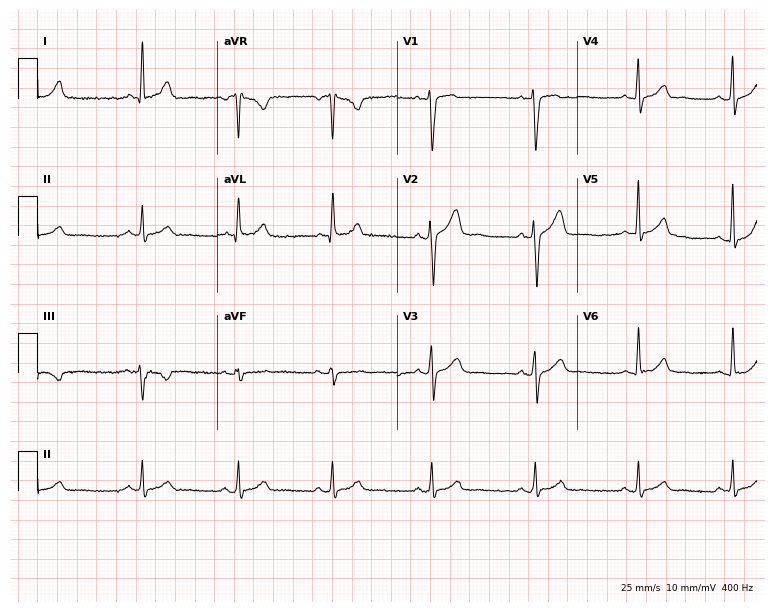
ECG (7.3-second recording at 400 Hz) — a male patient, 48 years old. Labelled as a normal ECG.